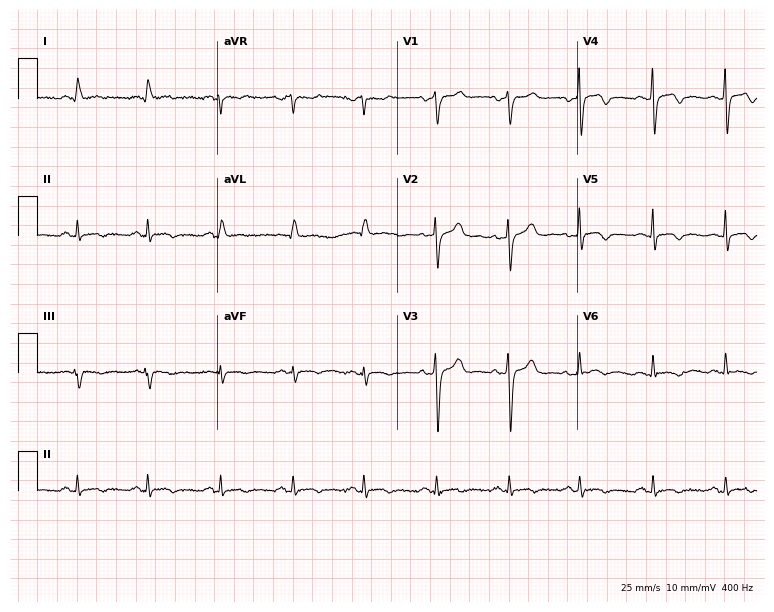
Resting 12-lead electrocardiogram (7.3-second recording at 400 Hz). Patient: a female, 55 years old. None of these six findings is recorded: first-degree AV block, right bundle branch block, left bundle branch block, sinus bradycardia, atrial fibrillation, sinus tachycardia. Only these six findings were labelled.